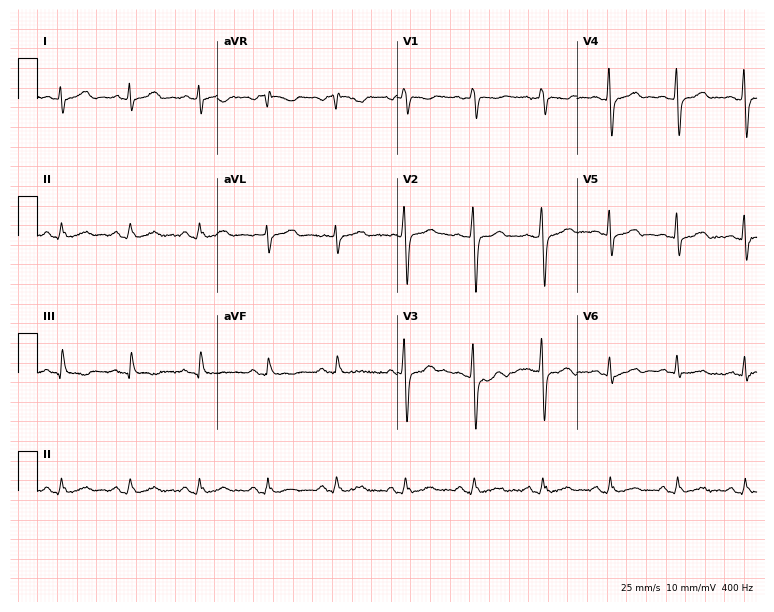
ECG (7.3-second recording at 400 Hz) — a 69-year-old man. Screened for six findings — first-degree AV block, right bundle branch block (RBBB), left bundle branch block (LBBB), sinus bradycardia, atrial fibrillation (AF), sinus tachycardia — none is recorded. Other findings, if any, are not listed.